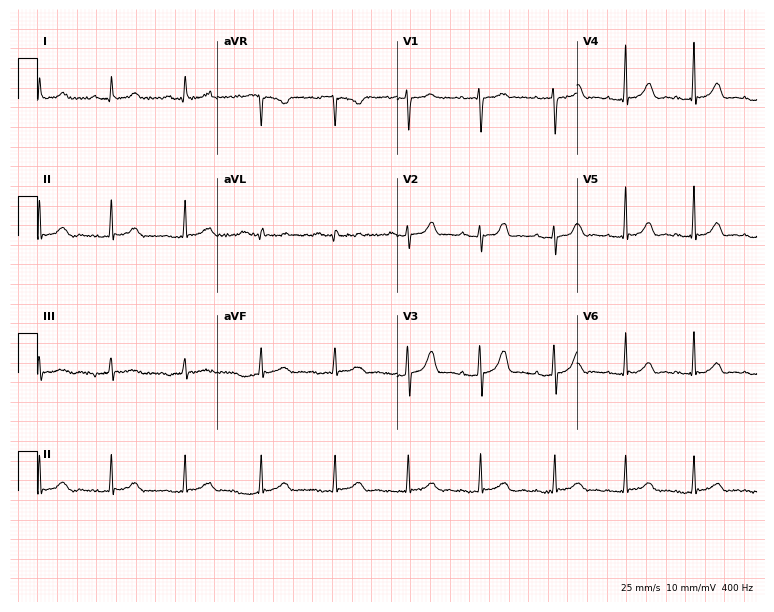
Electrocardiogram (7.3-second recording at 400 Hz), a female patient, 45 years old. Overall reading on record: normal ECG.